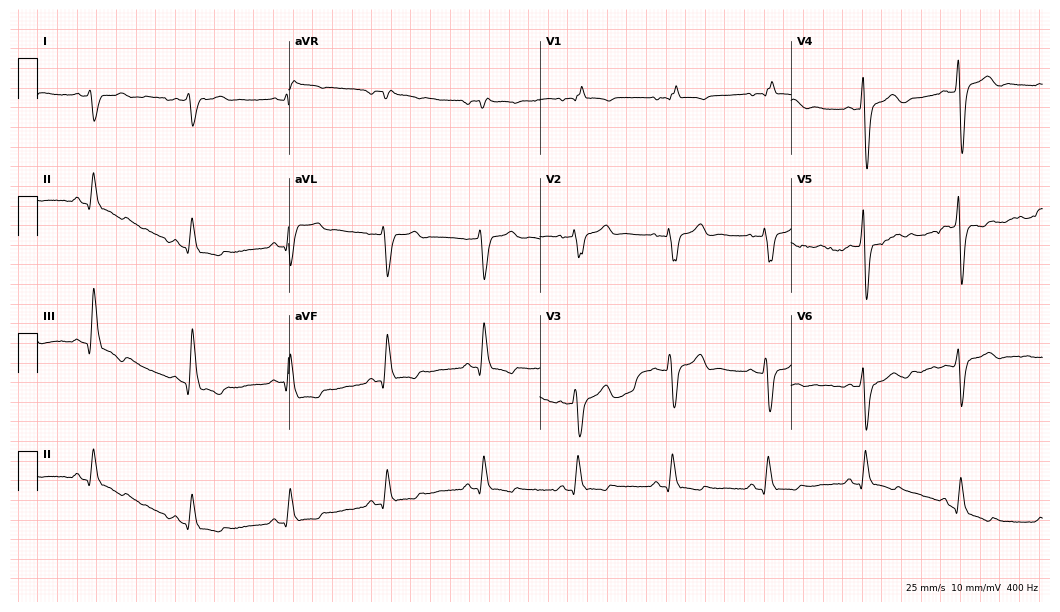
12-lead ECG from a 40-year-old male patient. Shows right bundle branch block.